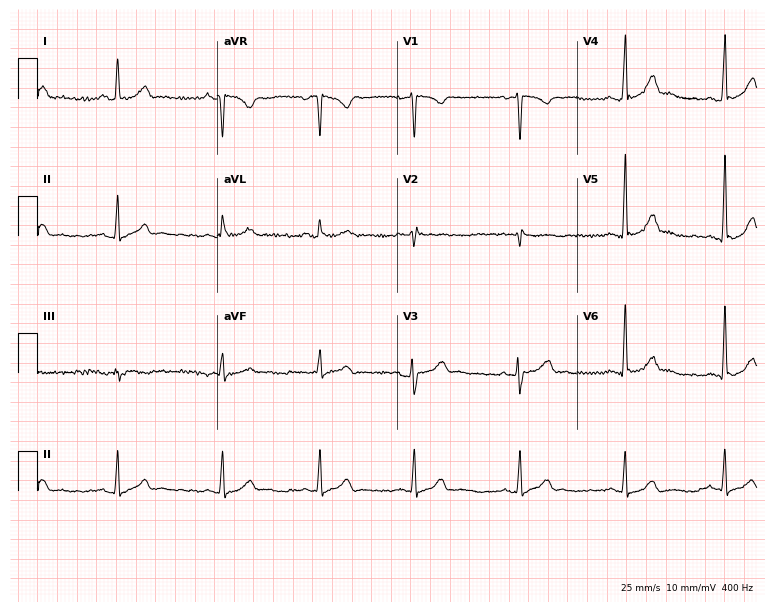
Standard 12-lead ECG recorded from a woman, 33 years old (7.3-second recording at 400 Hz). Read as a normal ECG.